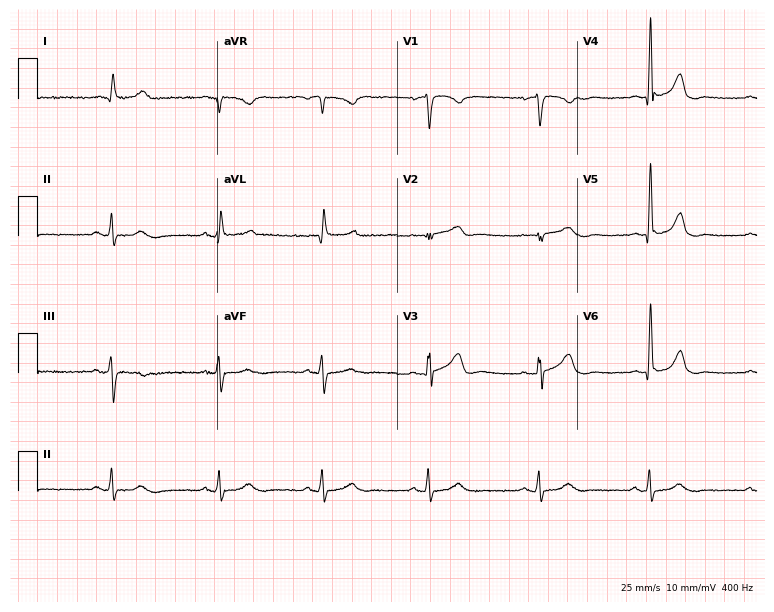
Resting 12-lead electrocardiogram (7.3-second recording at 400 Hz). Patient: a man, 83 years old. None of these six findings is recorded: first-degree AV block, right bundle branch block, left bundle branch block, sinus bradycardia, atrial fibrillation, sinus tachycardia. Findings outside these six are not listed.